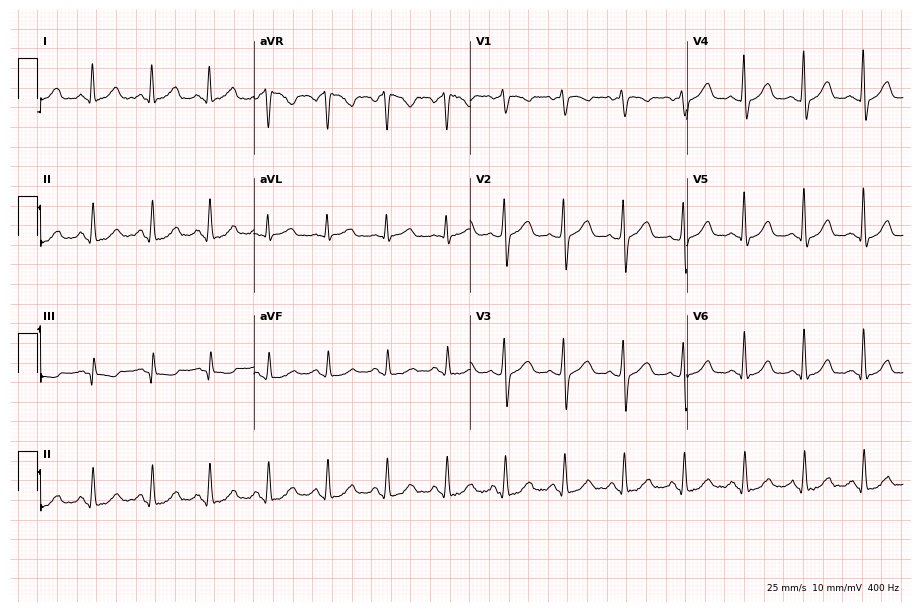
Electrocardiogram, a female, 55 years old. Of the six screened findings (first-degree AV block, right bundle branch block, left bundle branch block, sinus bradycardia, atrial fibrillation, sinus tachycardia), none is recorded. Findings outside these six are not listed.